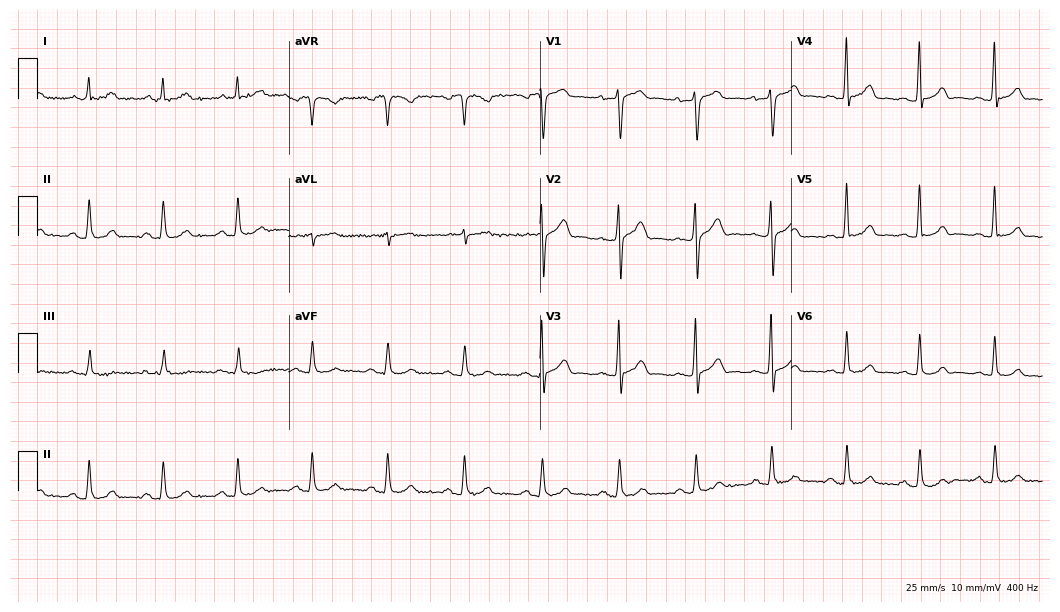
12-lead ECG from a male patient, 42 years old (10.2-second recording at 400 Hz). Recorded interpretation: within normal limits.